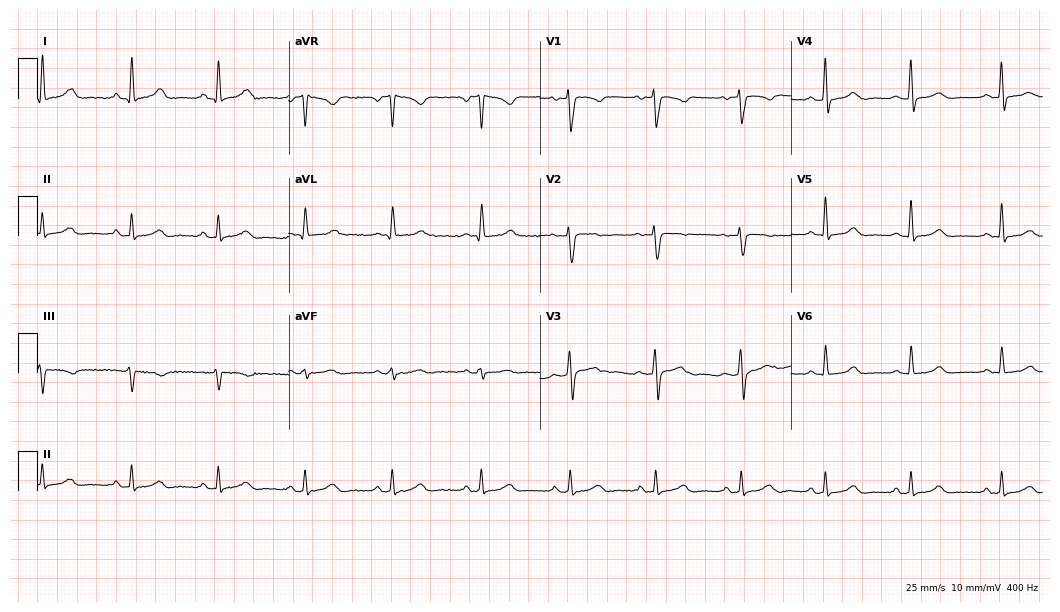
Standard 12-lead ECG recorded from a 47-year-old female (10.2-second recording at 400 Hz). Read as a normal ECG.